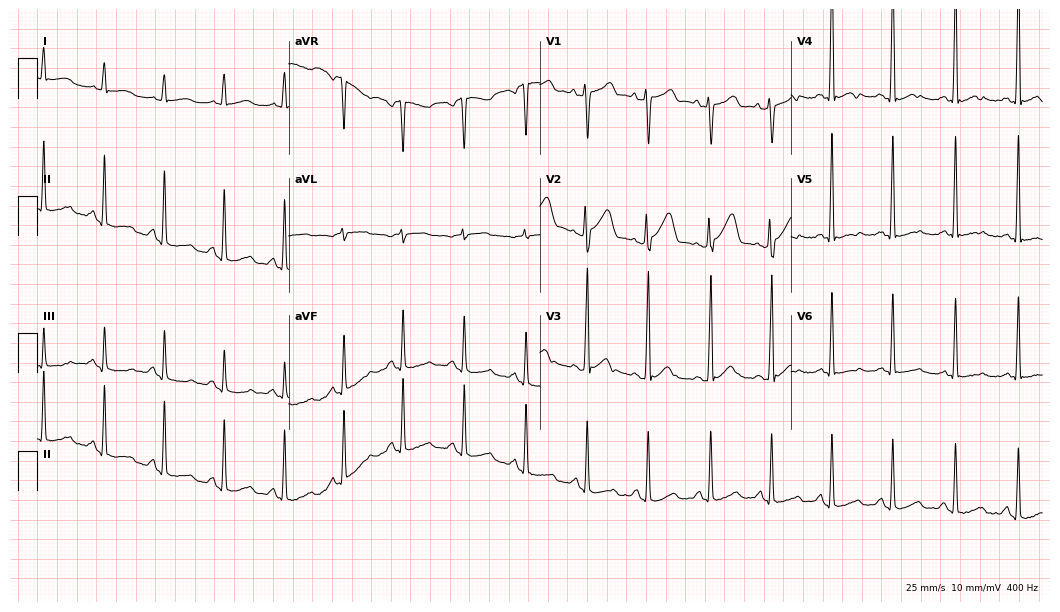
12-lead ECG from a 45-year-old male. Screened for six findings — first-degree AV block, right bundle branch block, left bundle branch block, sinus bradycardia, atrial fibrillation, sinus tachycardia — none is recorded. Other findings, if any, are not listed.